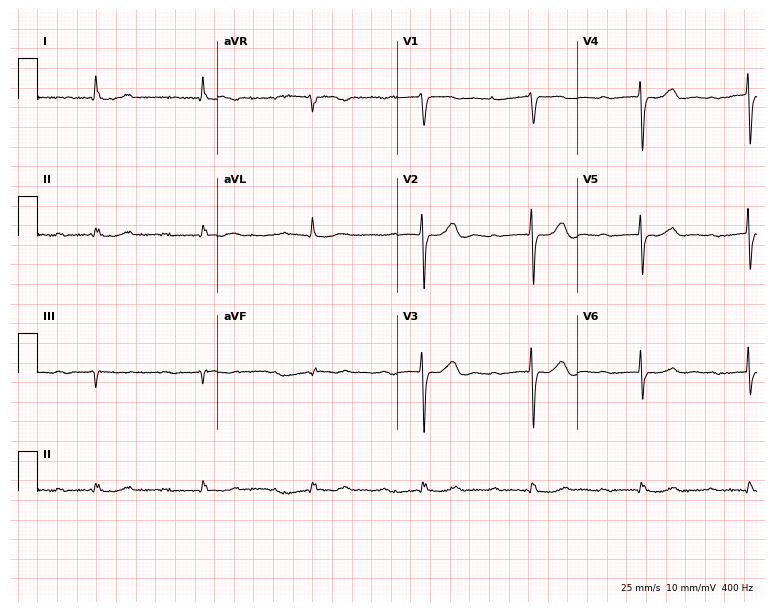
Electrocardiogram, a female, 85 years old. Of the six screened findings (first-degree AV block, right bundle branch block (RBBB), left bundle branch block (LBBB), sinus bradycardia, atrial fibrillation (AF), sinus tachycardia), none is recorded.